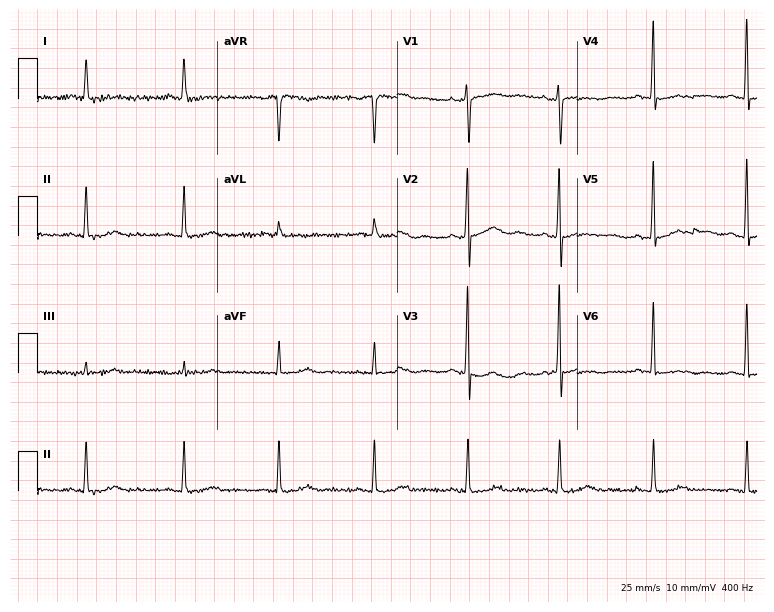
Resting 12-lead electrocardiogram (7.3-second recording at 400 Hz). Patient: a female, 73 years old. None of these six findings is recorded: first-degree AV block, right bundle branch block (RBBB), left bundle branch block (LBBB), sinus bradycardia, atrial fibrillation (AF), sinus tachycardia.